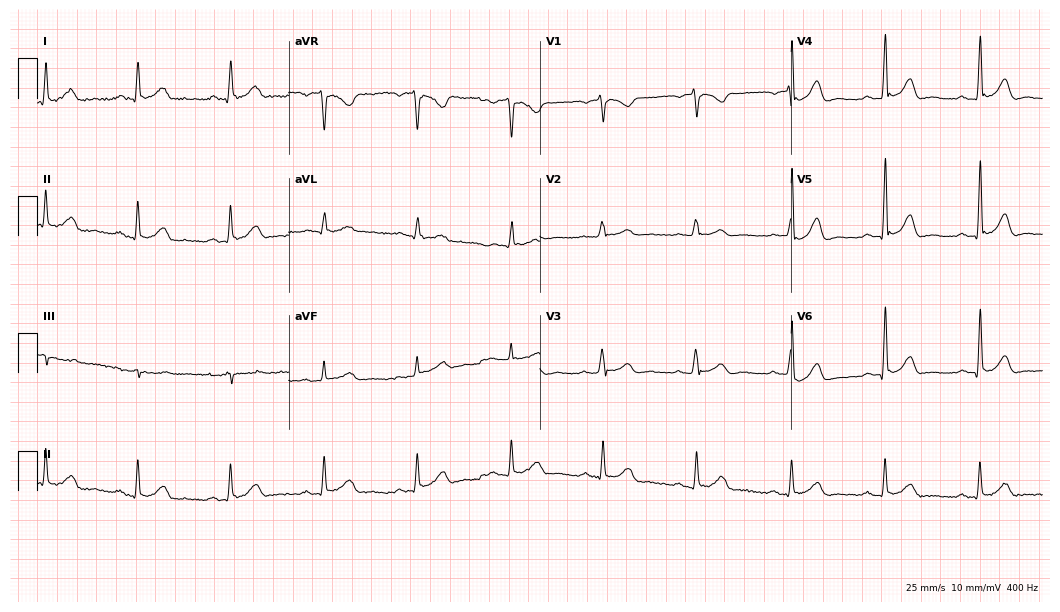
12-lead ECG (10.2-second recording at 400 Hz) from a man, 76 years old. Screened for six findings — first-degree AV block, right bundle branch block, left bundle branch block, sinus bradycardia, atrial fibrillation, sinus tachycardia — none is recorded.